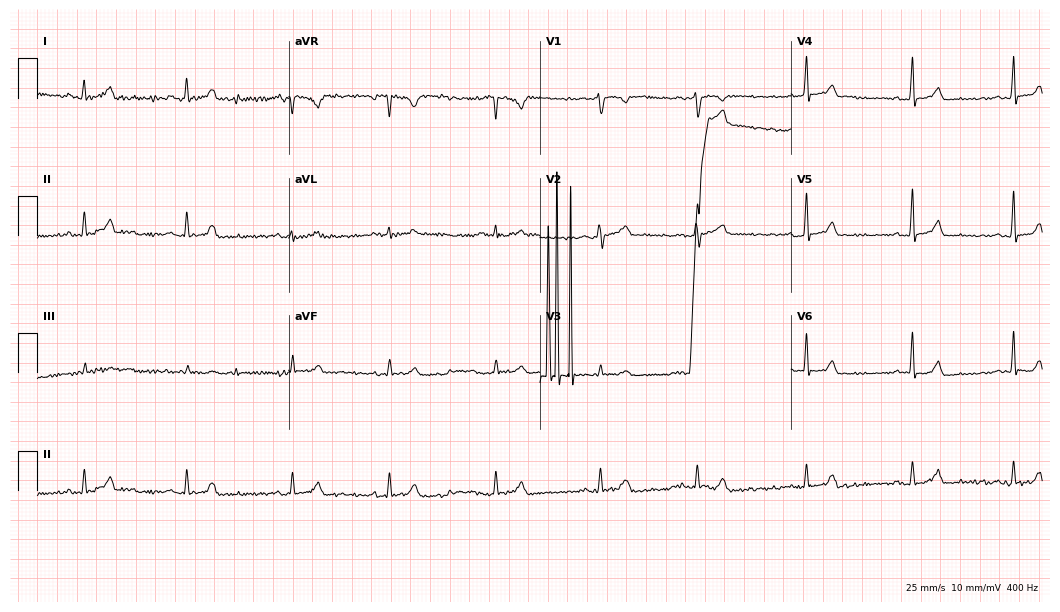
Electrocardiogram, a female, 27 years old. Of the six screened findings (first-degree AV block, right bundle branch block (RBBB), left bundle branch block (LBBB), sinus bradycardia, atrial fibrillation (AF), sinus tachycardia), none is recorded.